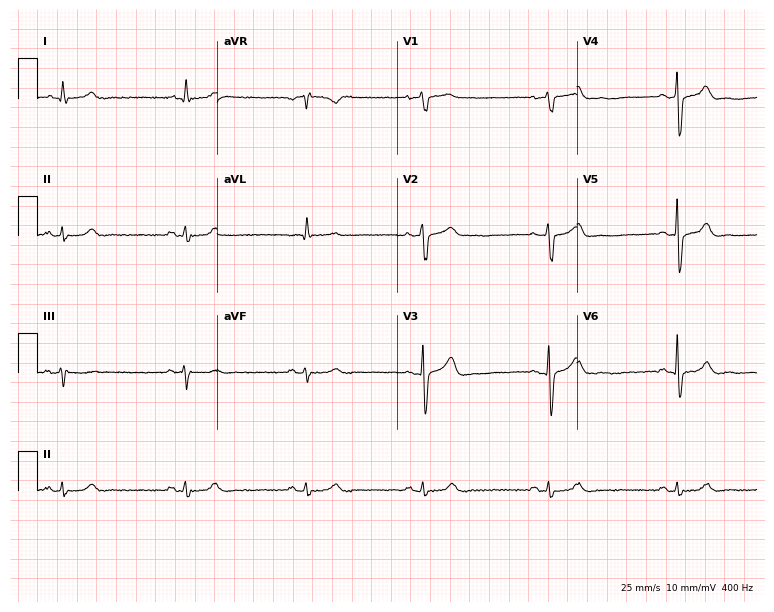
ECG (7.3-second recording at 400 Hz) — a man, 63 years old. Findings include sinus bradycardia (a sinus rate of 50 beats per minute or less).